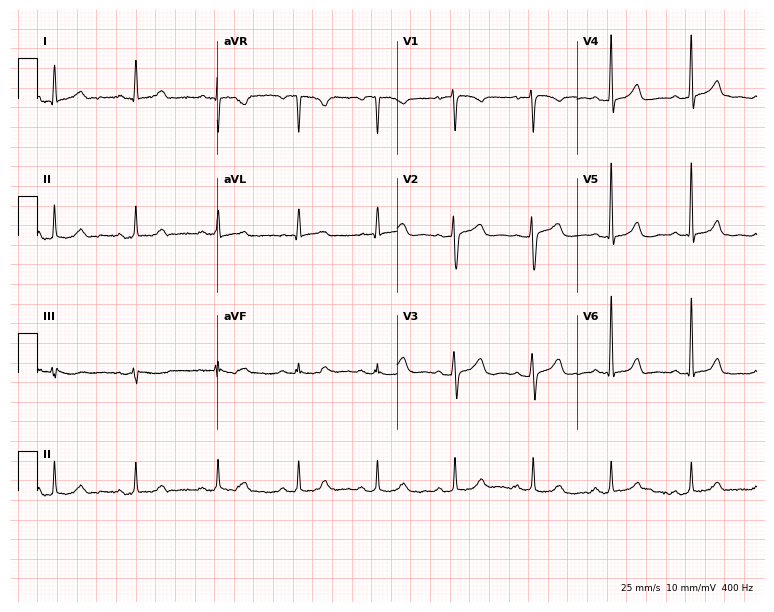
Resting 12-lead electrocardiogram. Patient: a 56-year-old female. Read as a normal ECG.